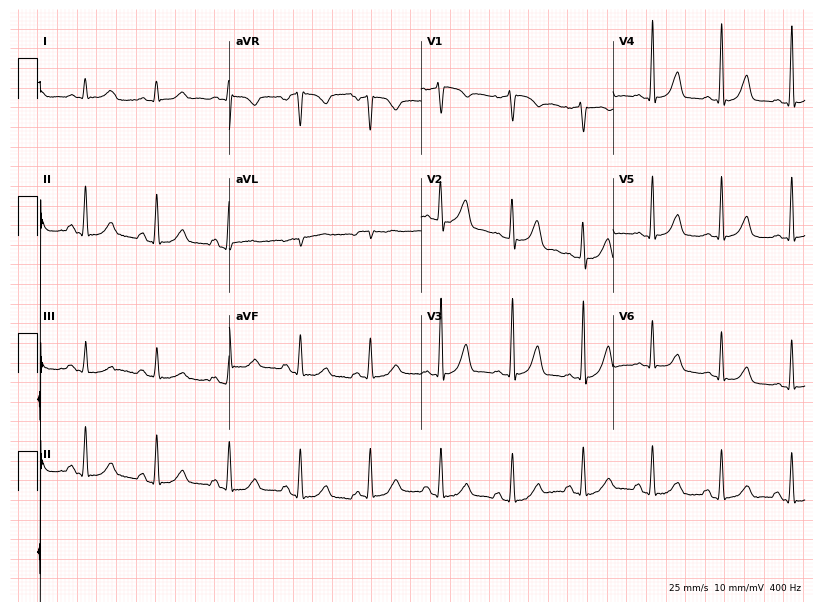
12-lead ECG from a 43-year-old female (7.8-second recording at 400 Hz). Recorded interpretation: within normal limits.